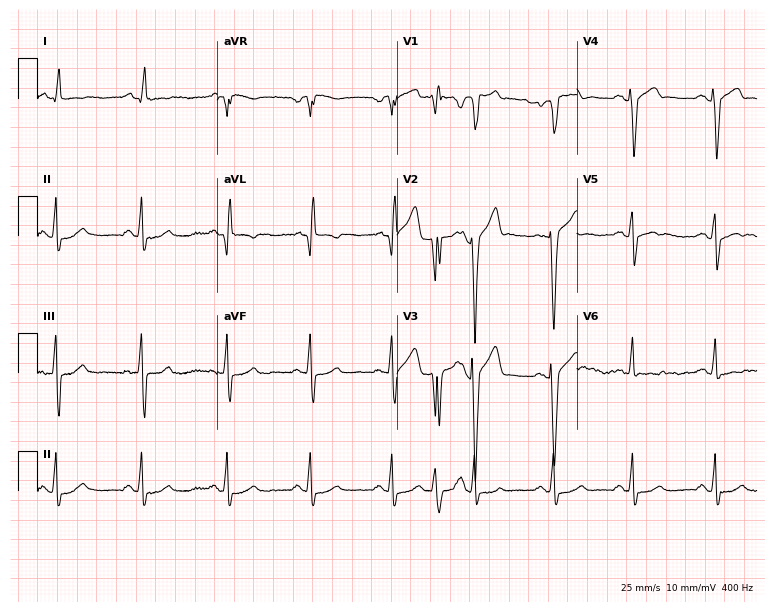
12-lead ECG from a male, 45 years old (7.3-second recording at 400 Hz). No first-degree AV block, right bundle branch block, left bundle branch block, sinus bradycardia, atrial fibrillation or sinus tachycardia recorded for this tracing.